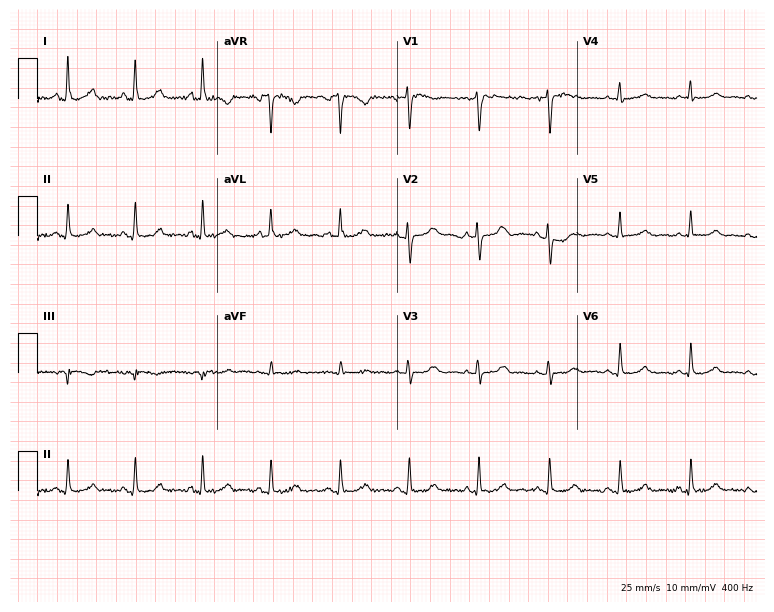
12-lead ECG from a 53-year-old female. Screened for six findings — first-degree AV block, right bundle branch block, left bundle branch block, sinus bradycardia, atrial fibrillation, sinus tachycardia — none is recorded. Other findings, if any, are not listed.